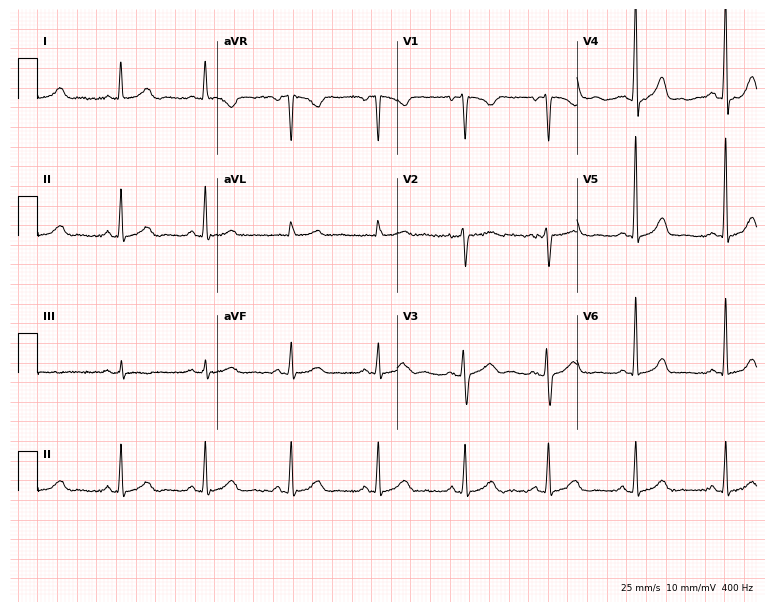
Standard 12-lead ECG recorded from a woman, 37 years old. Read as a normal ECG.